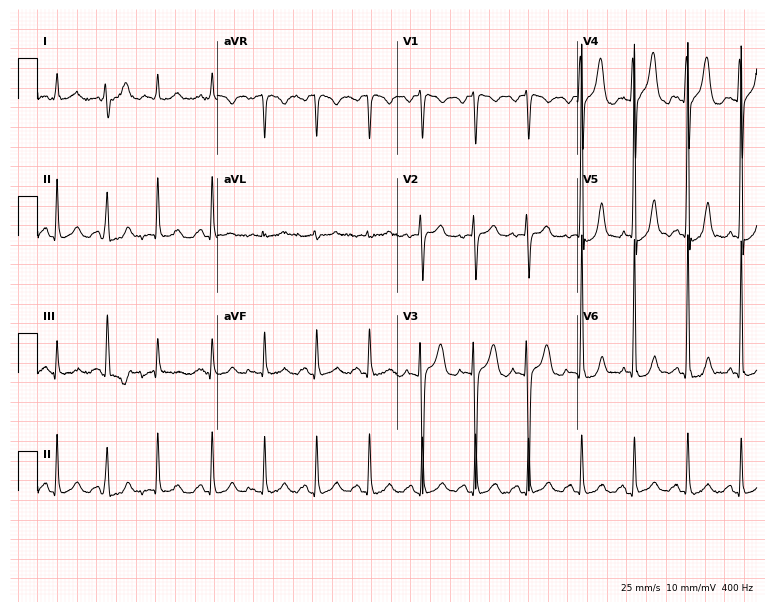
Standard 12-lead ECG recorded from a 69-year-old female. None of these six findings is recorded: first-degree AV block, right bundle branch block, left bundle branch block, sinus bradycardia, atrial fibrillation, sinus tachycardia.